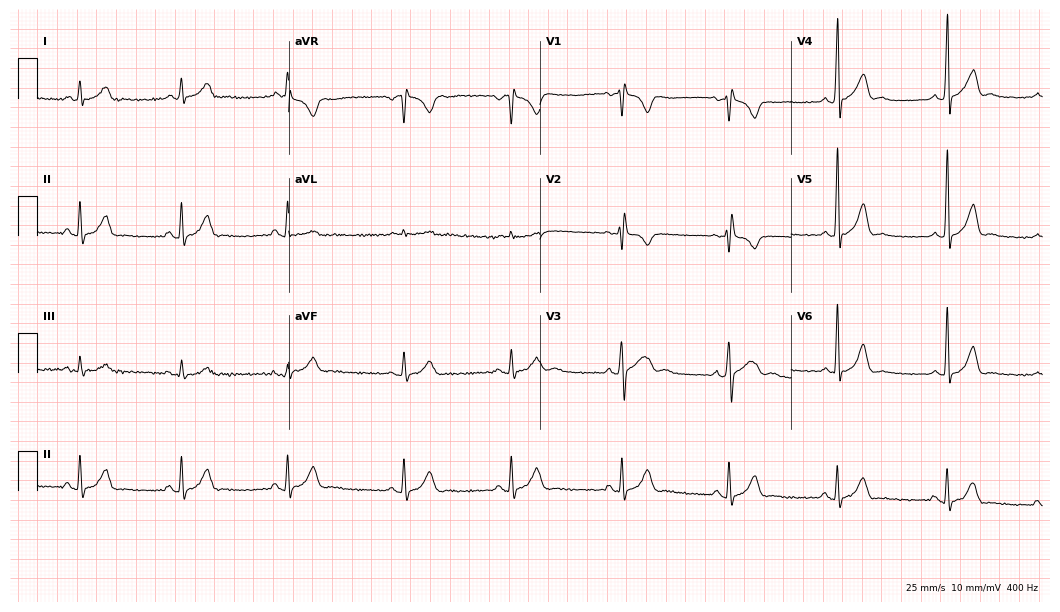
Resting 12-lead electrocardiogram (10.2-second recording at 400 Hz). Patient: a 30-year-old man. None of these six findings is recorded: first-degree AV block, right bundle branch block, left bundle branch block, sinus bradycardia, atrial fibrillation, sinus tachycardia. Findings outside these six are not listed.